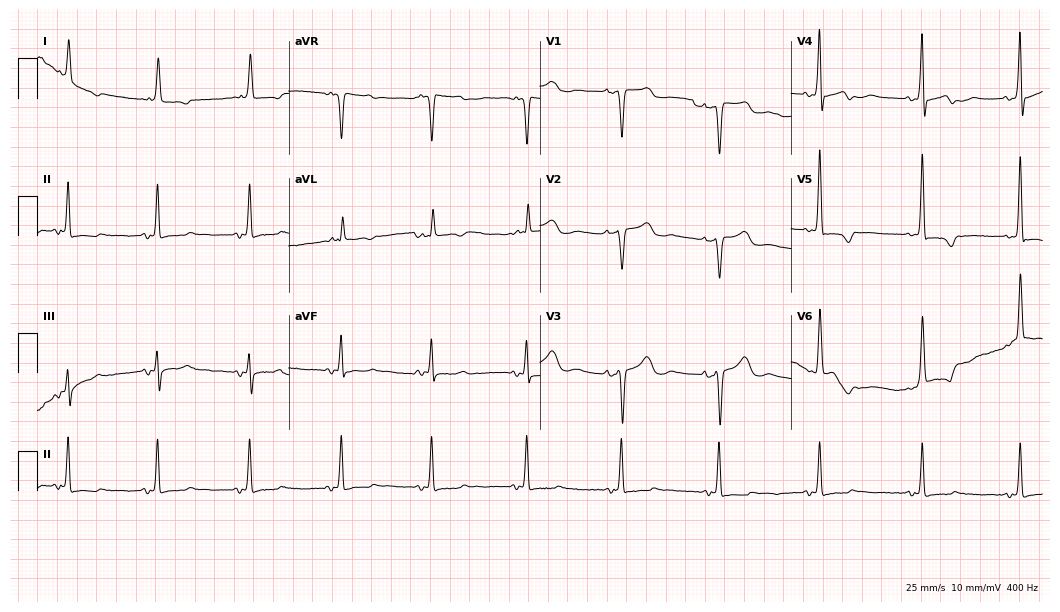
ECG (10.2-second recording at 400 Hz) — a 74-year-old female patient. Screened for six findings — first-degree AV block, right bundle branch block (RBBB), left bundle branch block (LBBB), sinus bradycardia, atrial fibrillation (AF), sinus tachycardia — none is recorded.